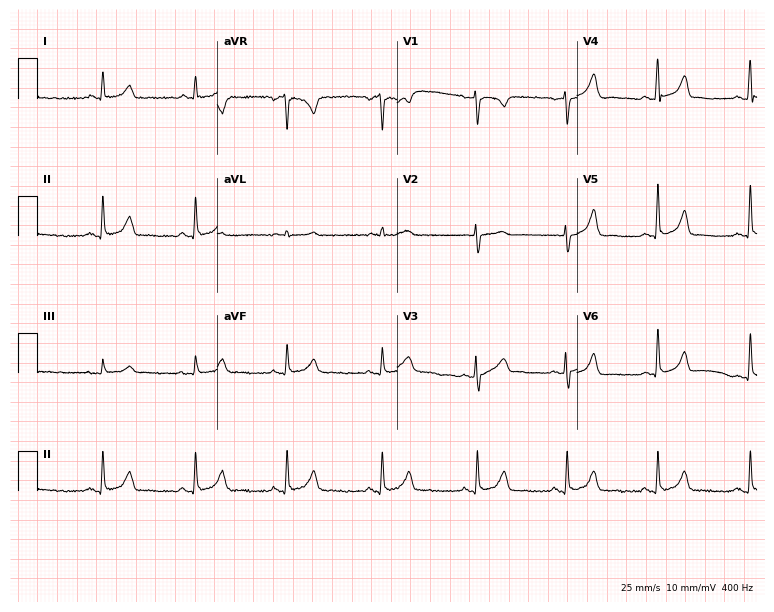
12-lead ECG from a woman, 44 years old (7.3-second recording at 400 Hz). Recorded interpretation: within normal limits.